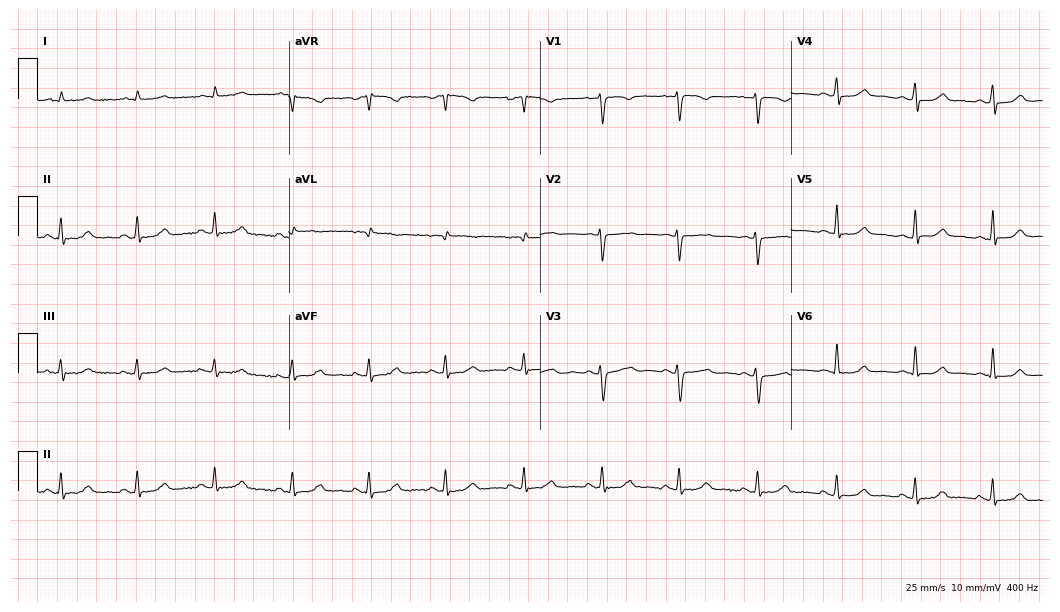
Resting 12-lead electrocardiogram. Patient: a woman, 48 years old. None of these six findings is recorded: first-degree AV block, right bundle branch block, left bundle branch block, sinus bradycardia, atrial fibrillation, sinus tachycardia.